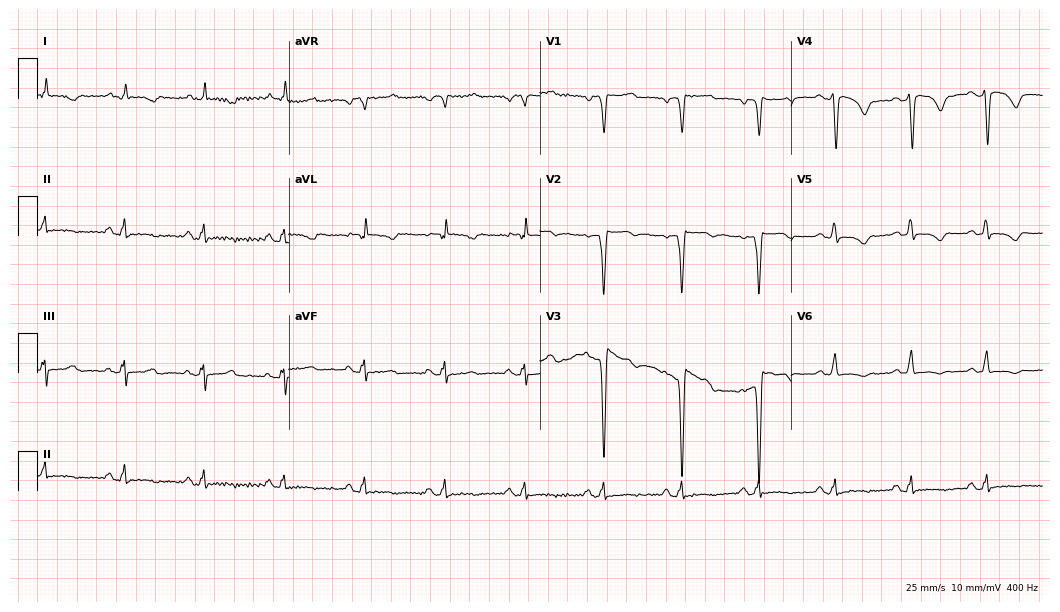
Resting 12-lead electrocardiogram (10.2-second recording at 400 Hz). Patient: a man, 64 years old. None of these six findings is recorded: first-degree AV block, right bundle branch block, left bundle branch block, sinus bradycardia, atrial fibrillation, sinus tachycardia.